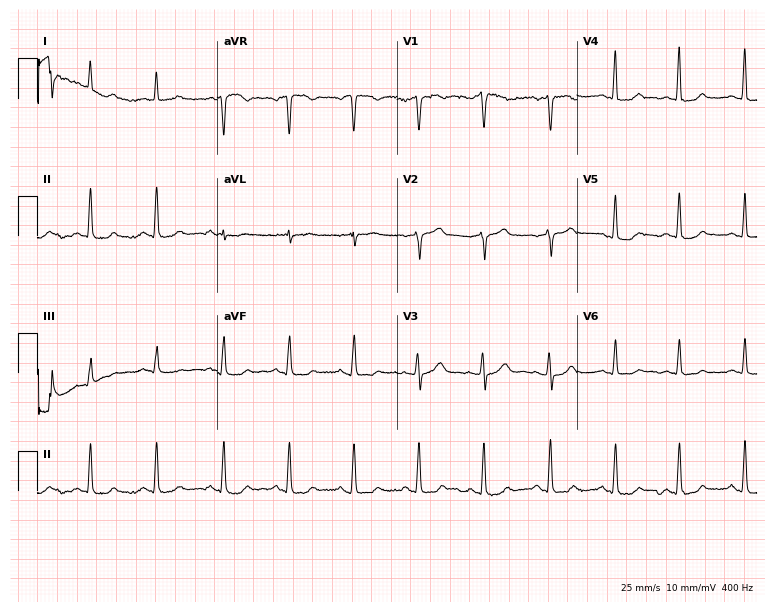
ECG — a 75-year-old female patient. Screened for six findings — first-degree AV block, right bundle branch block, left bundle branch block, sinus bradycardia, atrial fibrillation, sinus tachycardia — none is recorded. Only these six findings were labelled.